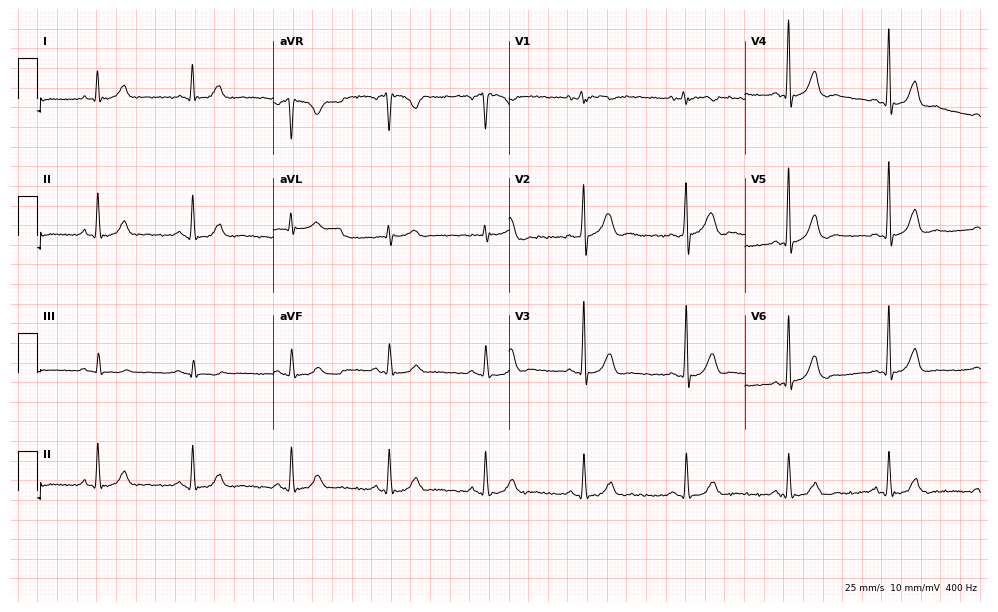
Resting 12-lead electrocardiogram (9.6-second recording at 400 Hz). Patient: a male, 47 years old. Read as a normal ECG.